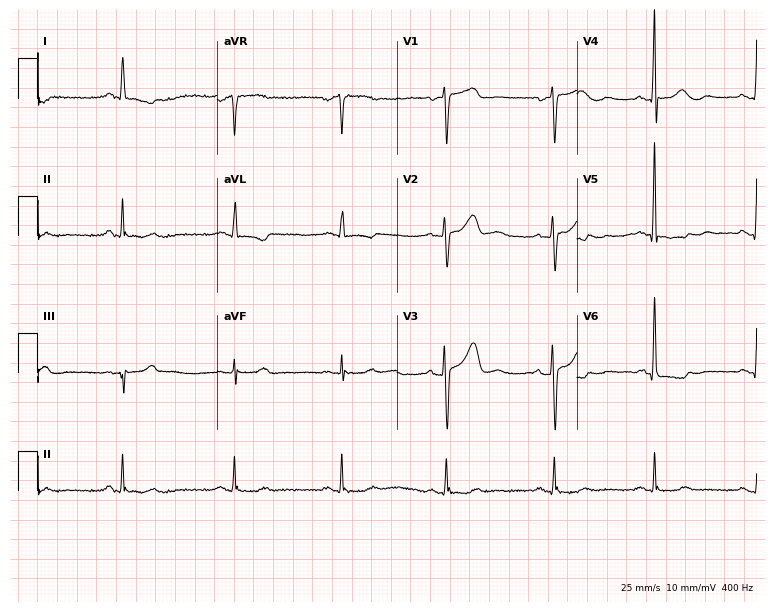
12-lead ECG from a 55-year-old female. Screened for six findings — first-degree AV block, right bundle branch block, left bundle branch block, sinus bradycardia, atrial fibrillation, sinus tachycardia — none is recorded. Other findings, if any, are not listed.